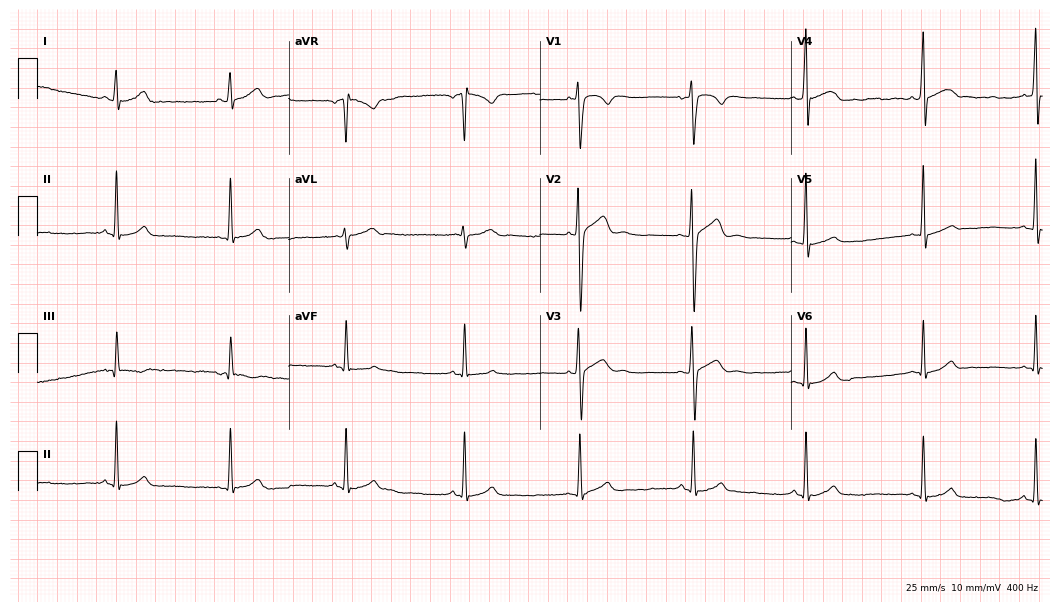
Resting 12-lead electrocardiogram. Patient: a male, 21 years old. None of these six findings is recorded: first-degree AV block, right bundle branch block, left bundle branch block, sinus bradycardia, atrial fibrillation, sinus tachycardia. Other findings, if any, are not listed.